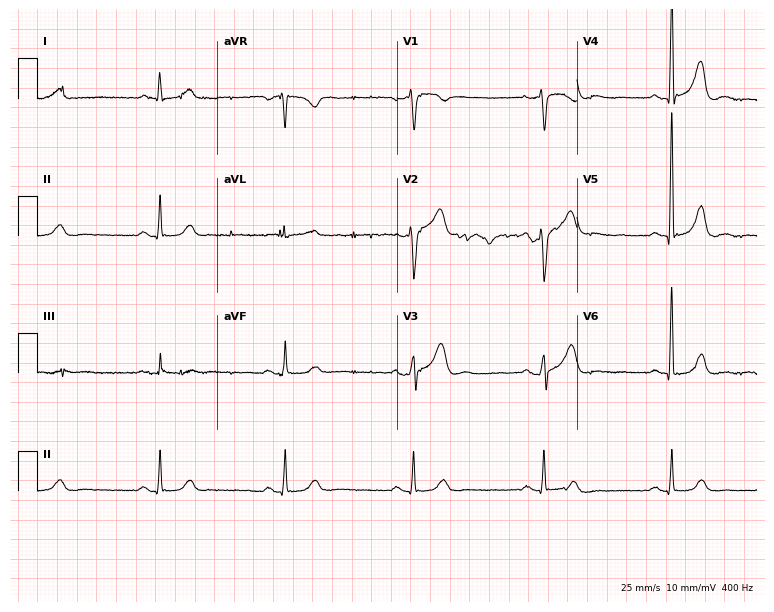
ECG (7.3-second recording at 400 Hz) — a man, 54 years old. Findings include sinus bradycardia (a sinus rate of 50 beats per minute or less).